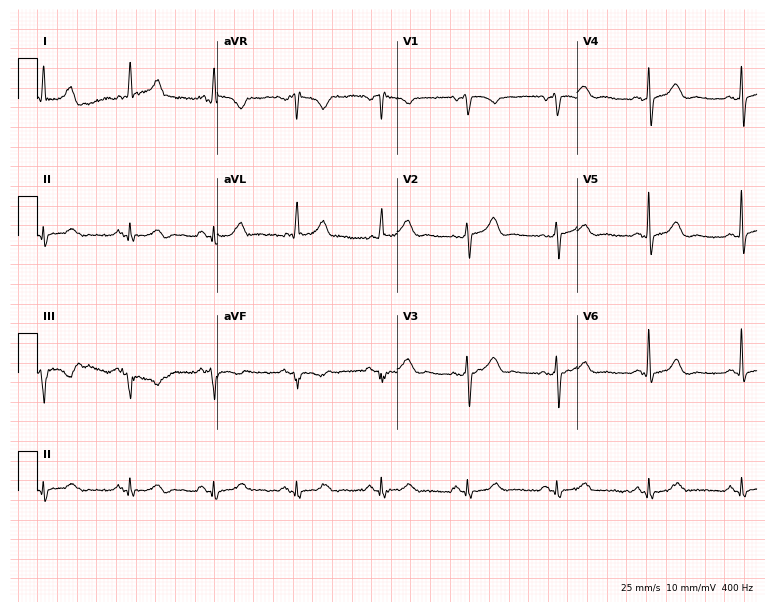
ECG (7.3-second recording at 400 Hz) — an 80-year-old female patient. Screened for six findings — first-degree AV block, right bundle branch block, left bundle branch block, sinus bradycardia, atrial fibrillation, sinus tachycardia — none is recorded. Findings outside these six are not listed.